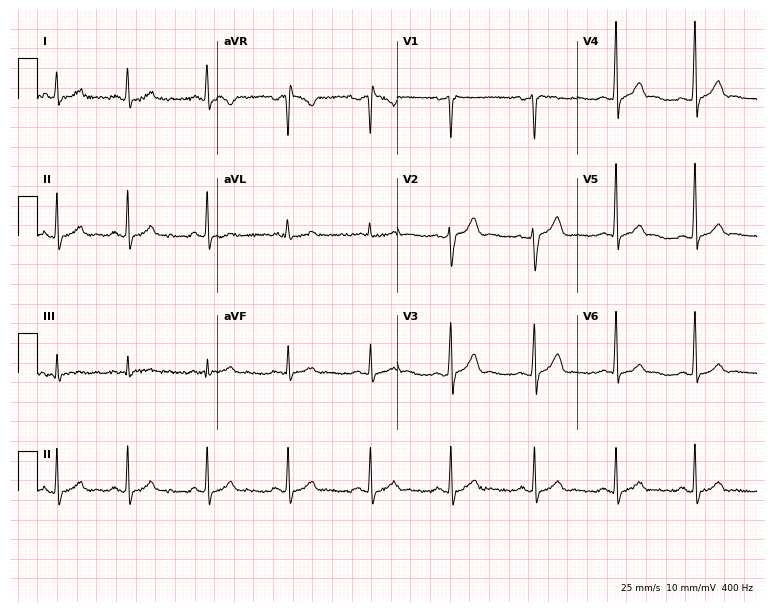
12-lead ECG from a male, 29 years old. Screened for six findings — first-degree AV block, right bundle branch block, left bundle branch block, sinus bradycardia, atrial fibrillation, sinus tachycardia — none is recorded. Only these six findings were labelled.